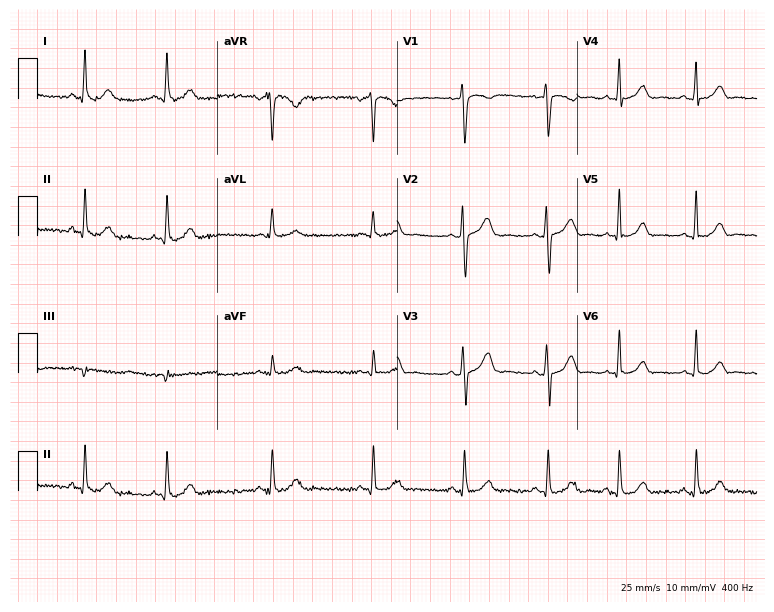
12-lead ECG from a 30-year-old woman. Screened for six findings — first-degree AV block, right bundle branch block (RBBB), left bundle branch block (LBBB), sinus bradycardia, atrial fibrillation (AF), sinus tachycardia — none is recorded.